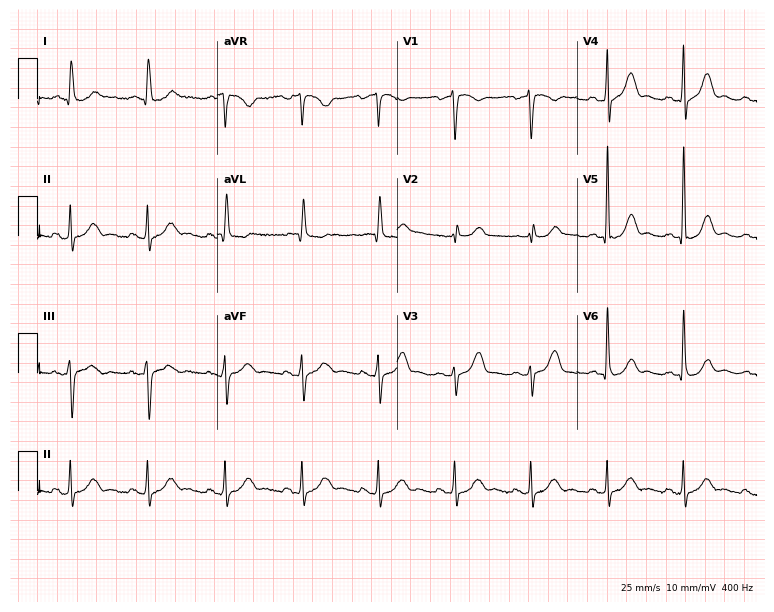
12-lead ECG from a male patient, 60 years old. Recorded interpretation: within normal limits.